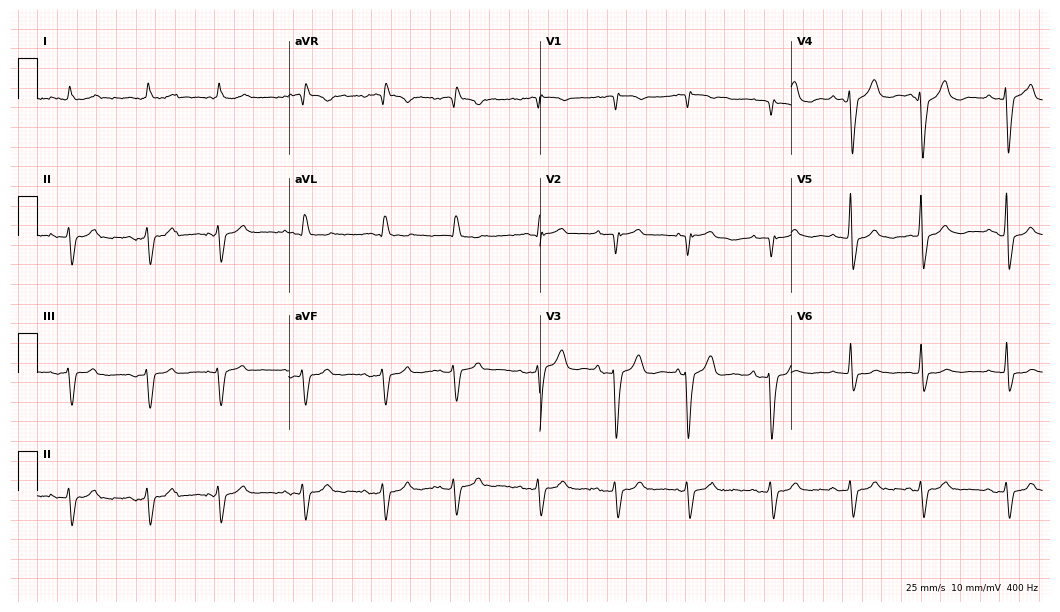
Standard 12-lead ECG recorded from a male, 86 years old (10.2-second recording at 400 Hz). None of these six findings is recorded: first-degree AV block, right bundle branch block, left bundle branch block, sinus bradycardia, atrial fibrillation, sinus tachycardia.